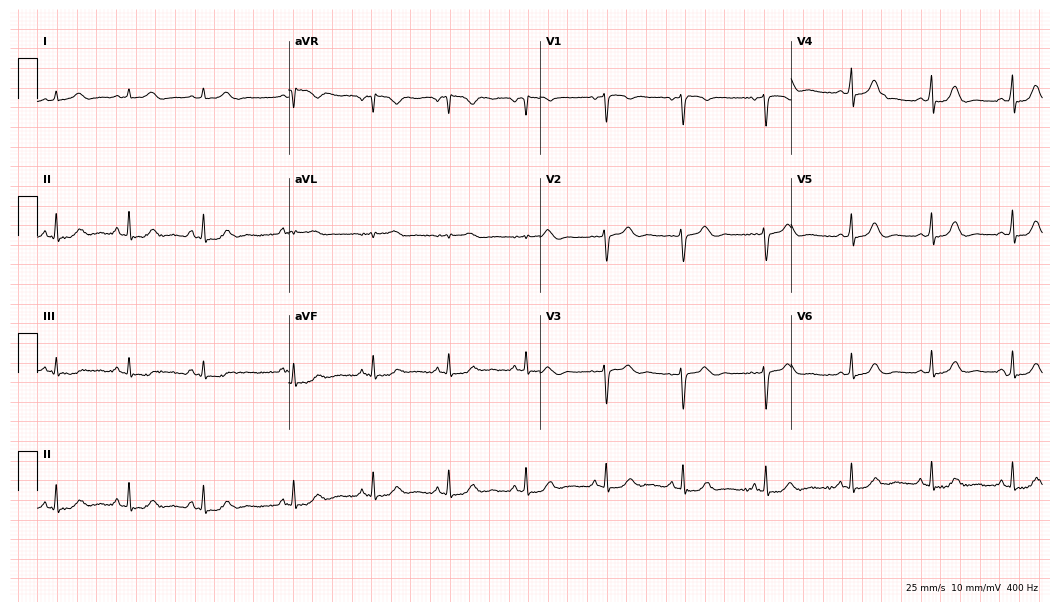
Electrocardiogram (10.2-second recording at 400 Hz), a 32-year-old female patient. Overall reading on record: normal ECG.